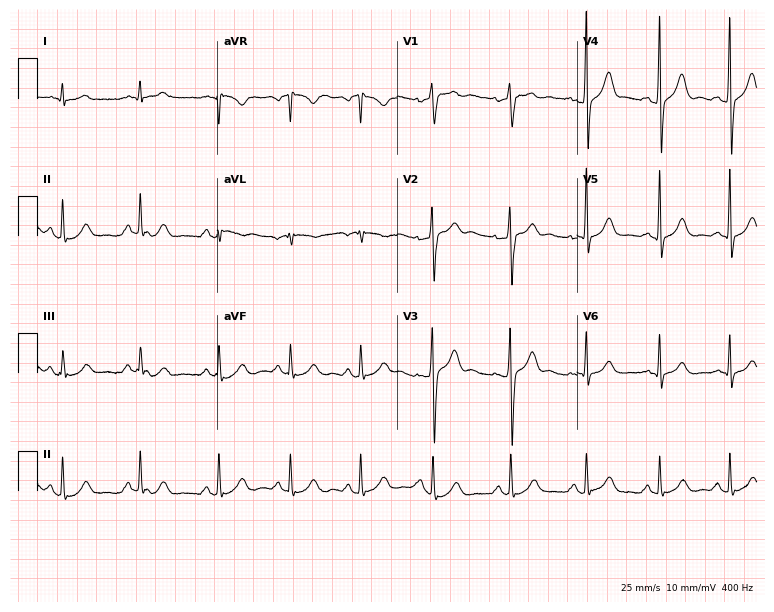
Resting 12-lead electrocardiogram. Patient: a male, 32 years old. Read as a normal ECG.